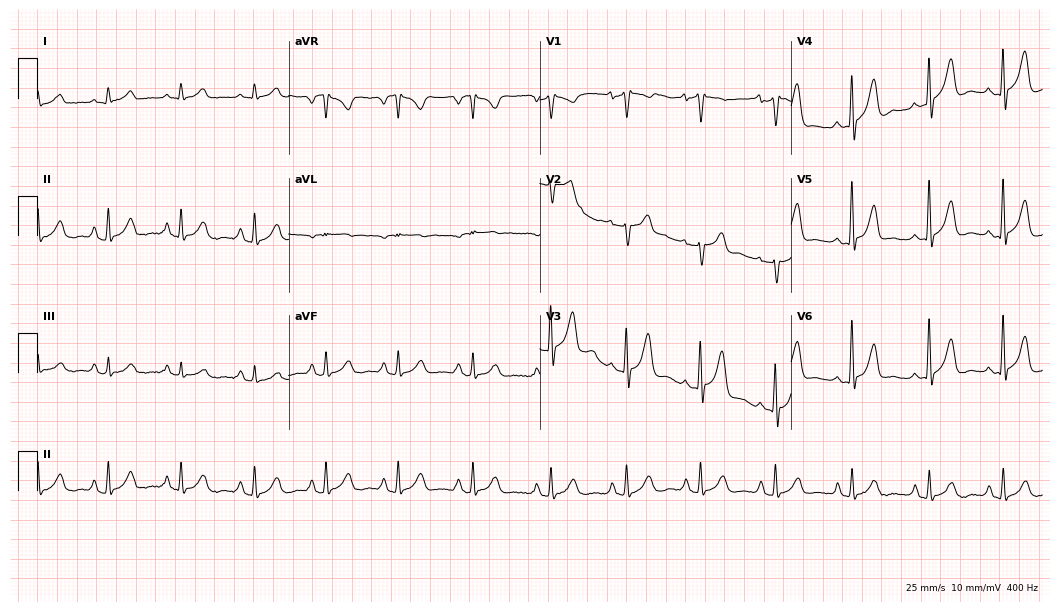
ECG — a man, 55 years old. Screened for six findings — first-degree AV block, right bundle branch block, left bundle branch block, sinus bradycardia, atrial fibrillation, sinus tachycardia — none is recorded.